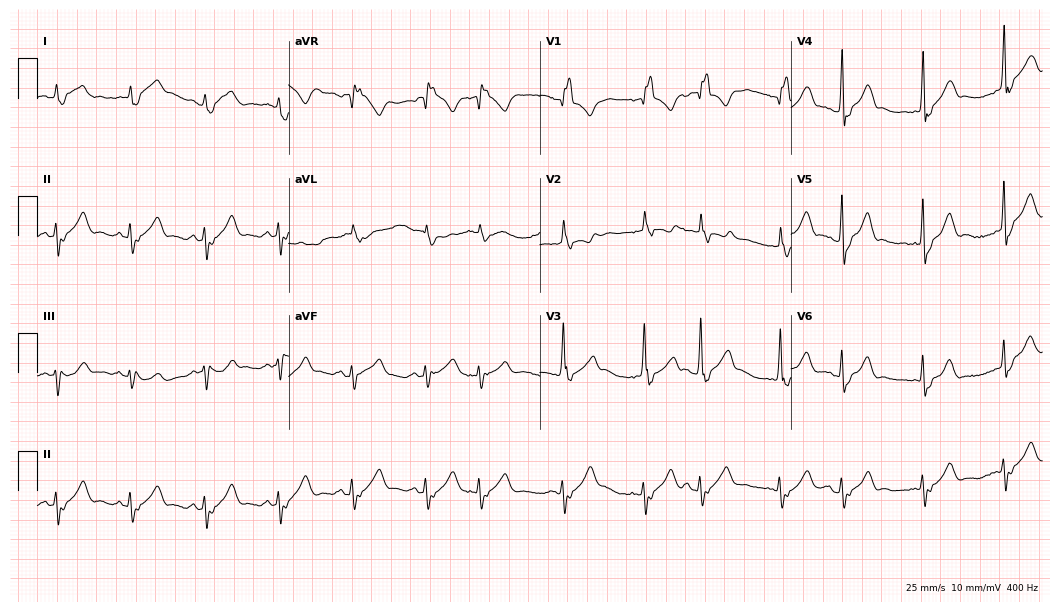
12-lead ECG from an 83-year-old man (10.2-second recording at 400 Hz). No first-degree AV block, right bundle branch block, left bundle branch block, sinus bradycardia, atrial fibrillation or sinus tachycardia recorded for this tracing. Only these six findings were labelled.